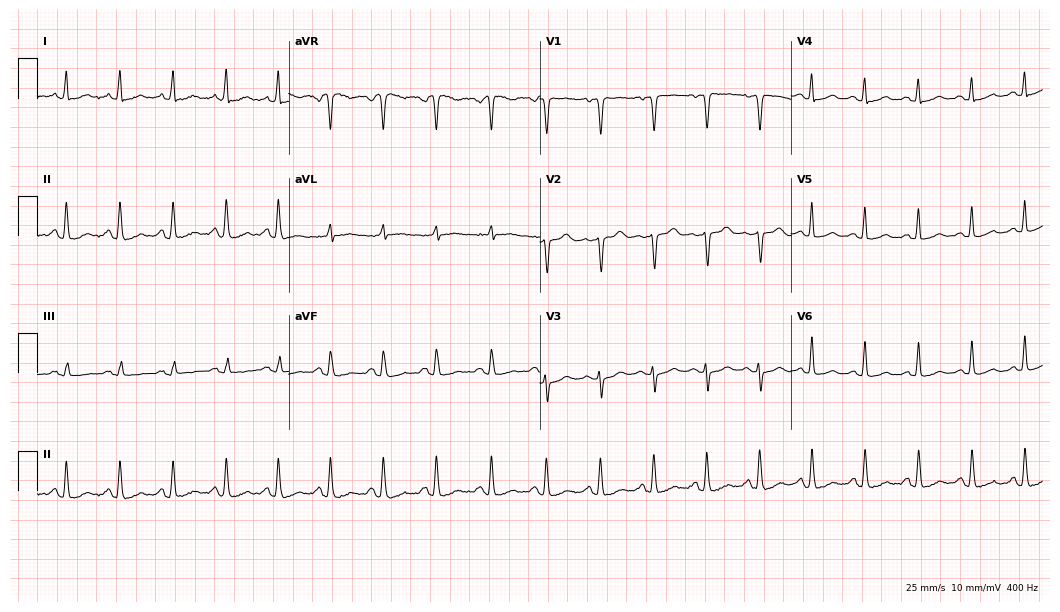
Resting 12-lead electrocardiogram (10.2-second recording at 400 Hz). Patient: a female, 50 years old. The tracing shows sinus tachycardia (a sinus rate of 100 beats per minute or more).